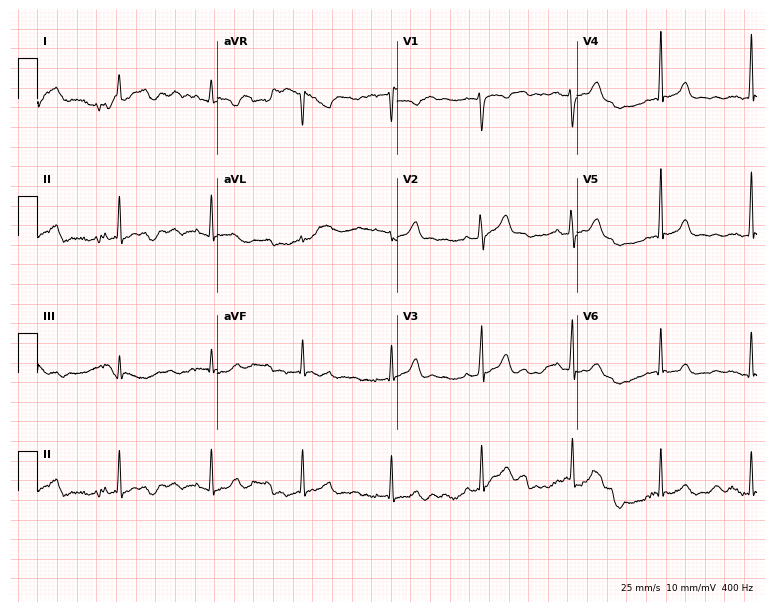
Resting 12-lead electrocardiogram. Patient: a female, 21 years old. None of these six findings is recorded: first-degree AV block, right bundle branch block, left bundle branch block, sinus bradycardia, atrial fibrillation, sinus tachycardia.